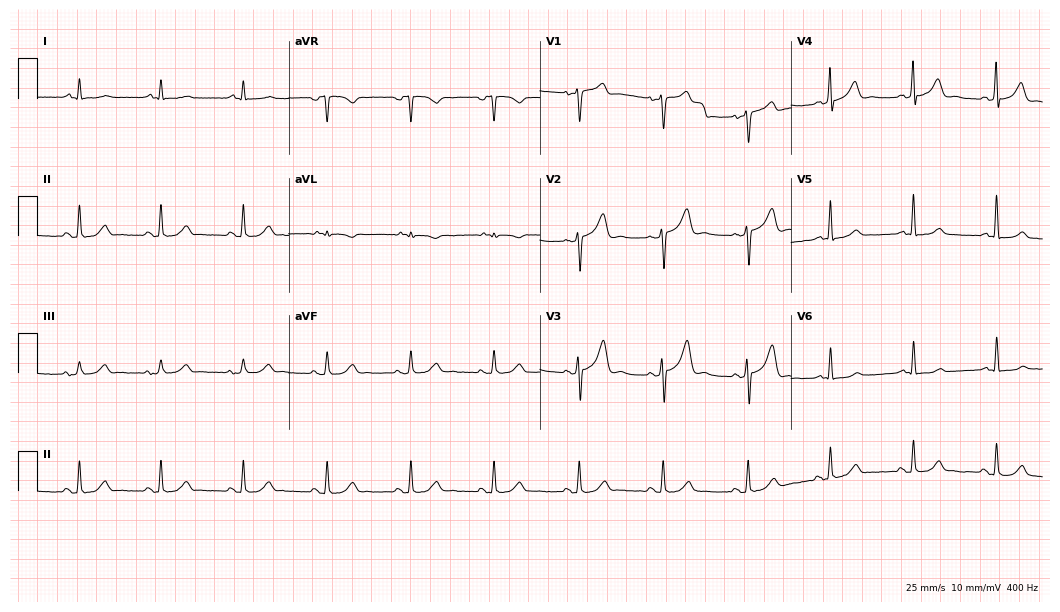
Resting 12-lead electrocardiogram. Patient: a male, 64 years old. Read as a normal ECG.